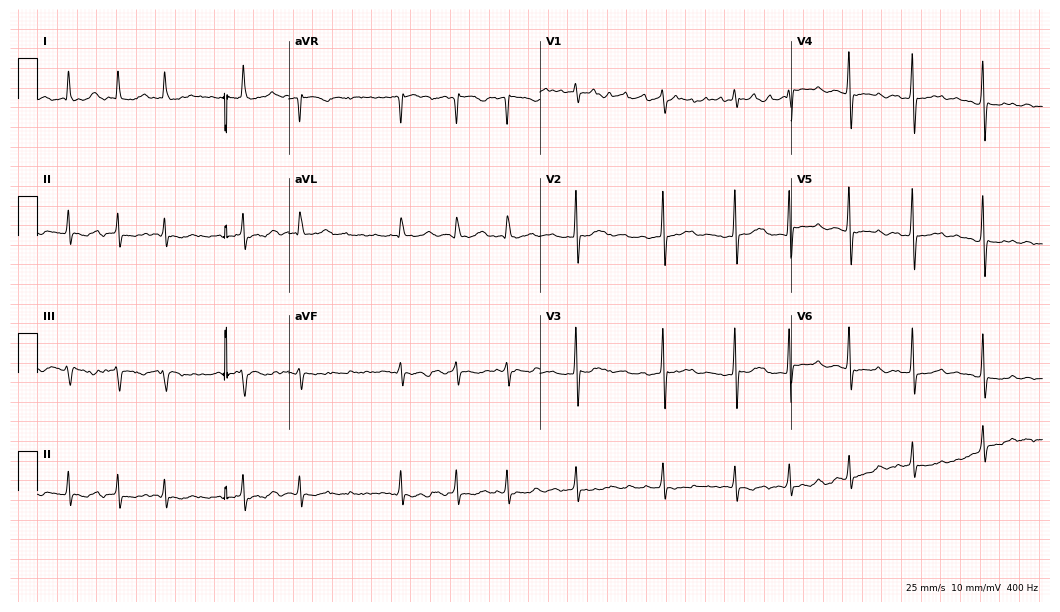
Standard 12-lead ECG recorded from a female, 73 years old. The tracing shows atrial fibrillation (AF).